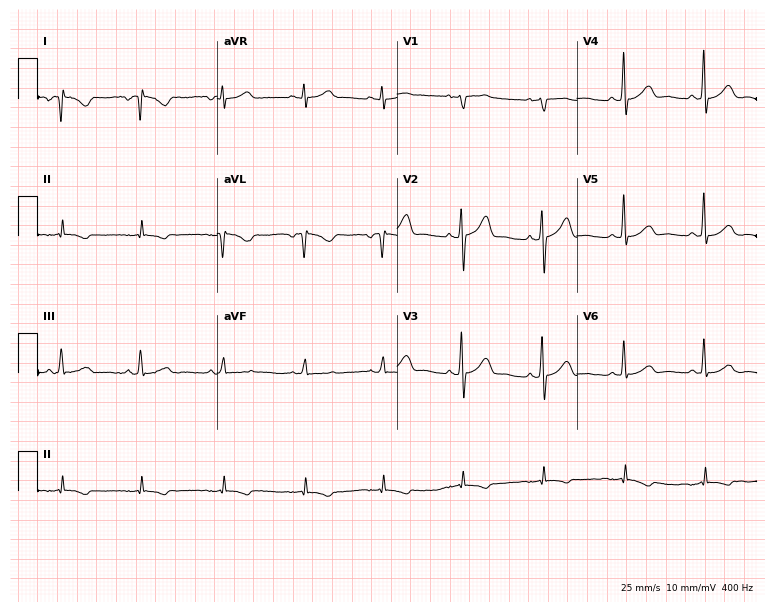
12-lead ECG from a woman, 53 years old. No first-degree AV block, right bundle branch block, left bundle branch block, sinus bradycardia, atrial fibrillation or sinus tachycardia recorded for this tracing. Findings outside these six are not listed.